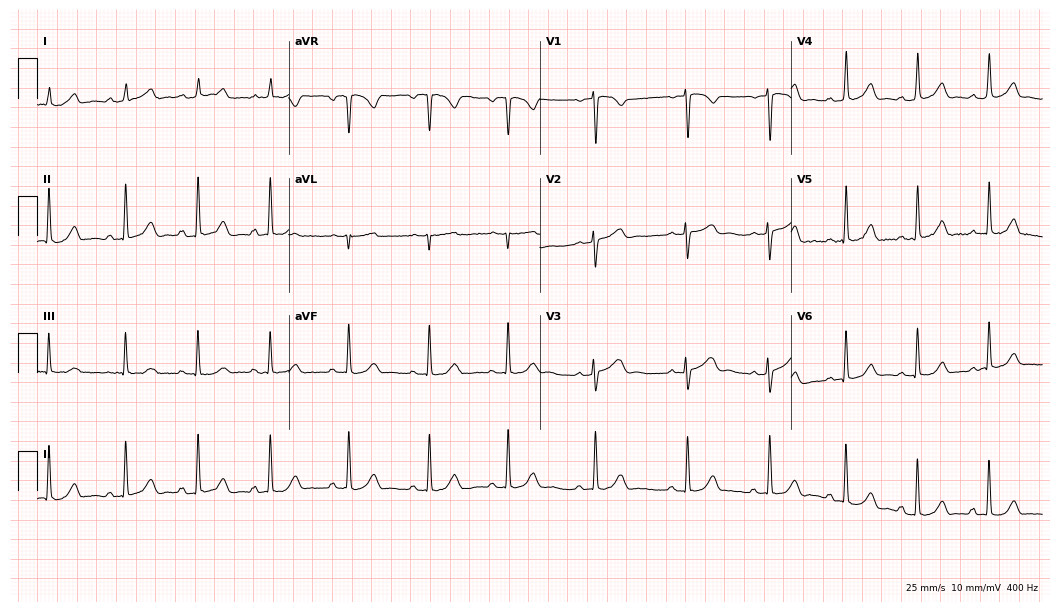
Standard 12-lead ECG recorded from a woman, 19 years old. Read as a normal ECG.